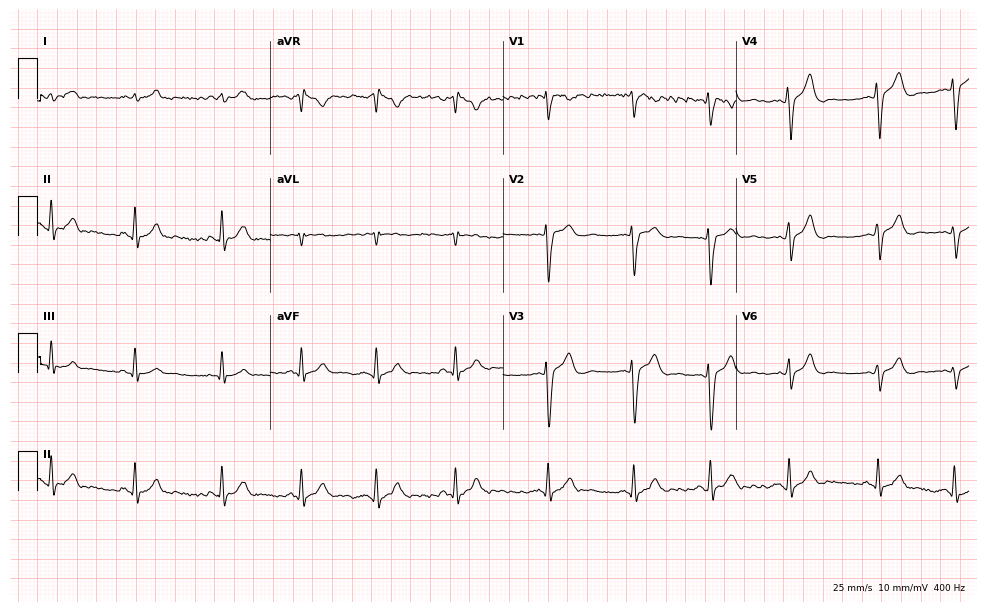
12-lead ECG from a 19-year-old male patient. No first-degree AV block, right bundle branch block (RBBB), left bundle branch block (LBBB), sinus bradycardia, atrial fibrillation (AF) or sinus tachycardia recorded for this tracing.